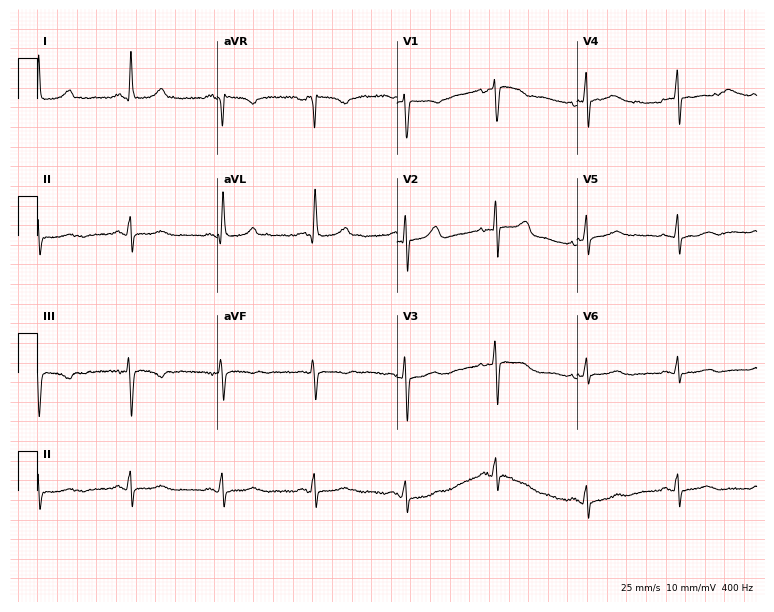
Standard 12-lead ECG recorded from a female, 63 years old. Read as a normal ECG.